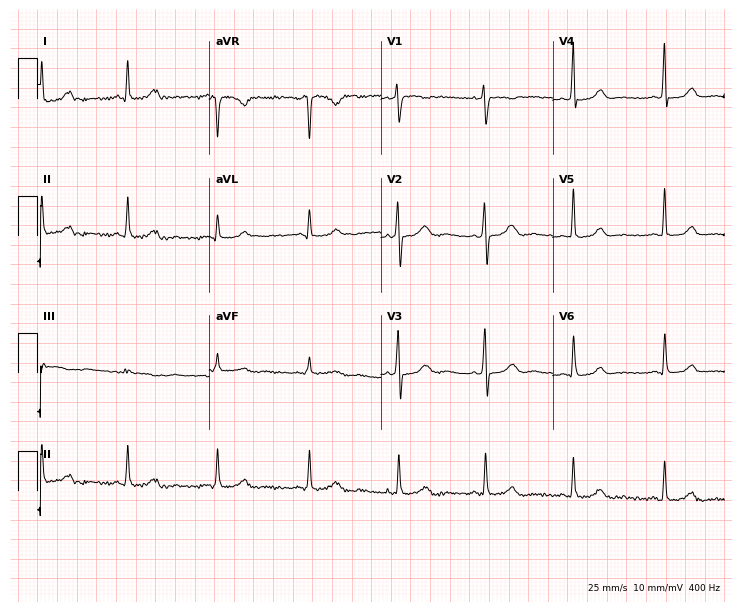
Resting 12-lead electrocardiogram (7-second recording at 400 Hz). Patient: a 40-year-old woman. None of these six findings is recorded: first-degree AV block, right bundle branch block, left bundle branch block, sinus bradycardia, atrial fibrillation, sinus tachycardia. Only these six findings were labelled.